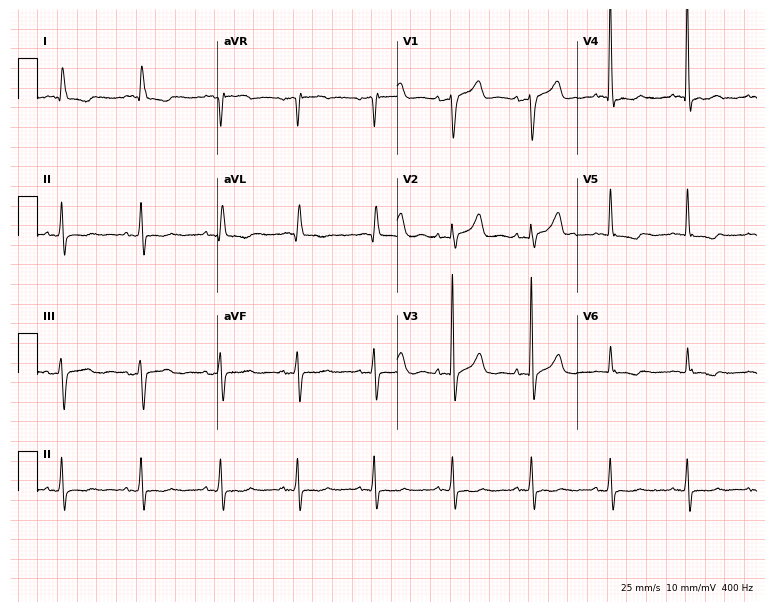
12-lead ECG from an 81-year-old female (7.3-second recording at 400 Hz). No first-degree AV block, right bundle branch block, left bundle branch block, sinus bradycardia, atrial fibrillation or sinus tachycardia recorded for this tracing.